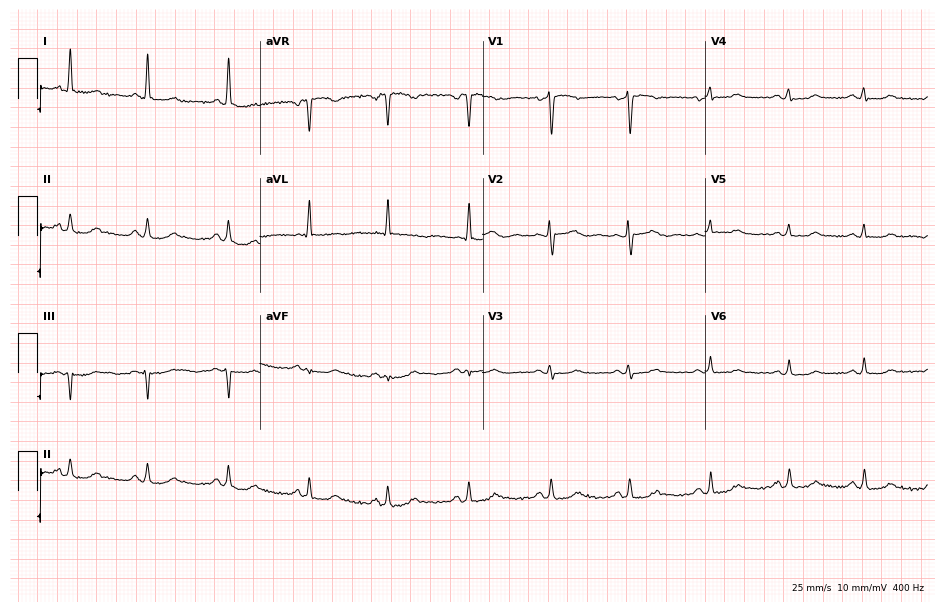
Standard 12-lead ECG recorded from a 54-year-old female (9.1-second recording at 400 Hz). Read as a normal ECG.